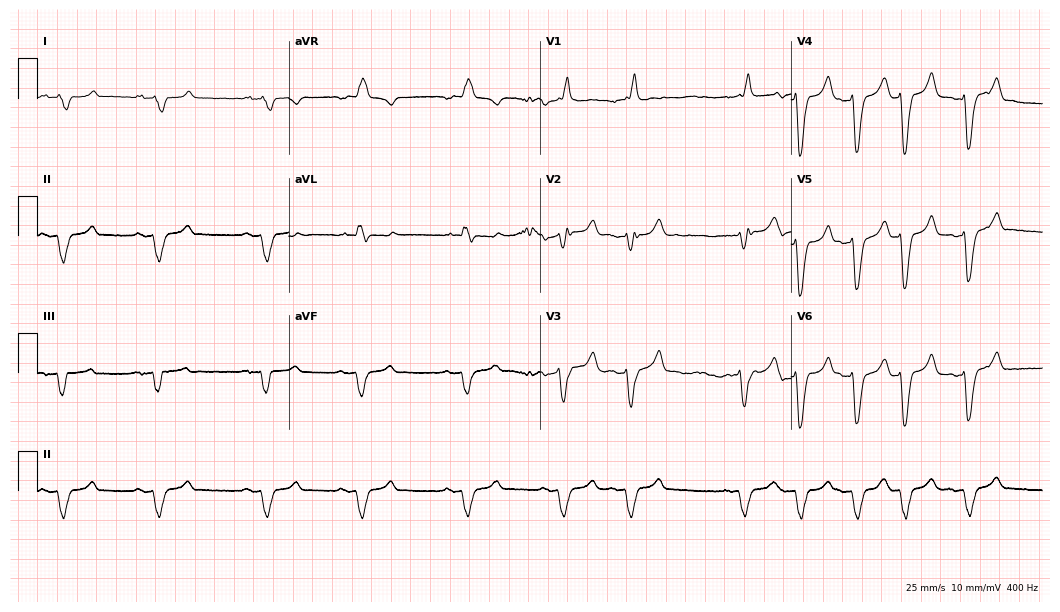
12-lead ECG from a 74-year-old male patient (10.2-second recording at 400 Hz). Shows right bundle branch block (RBBB).